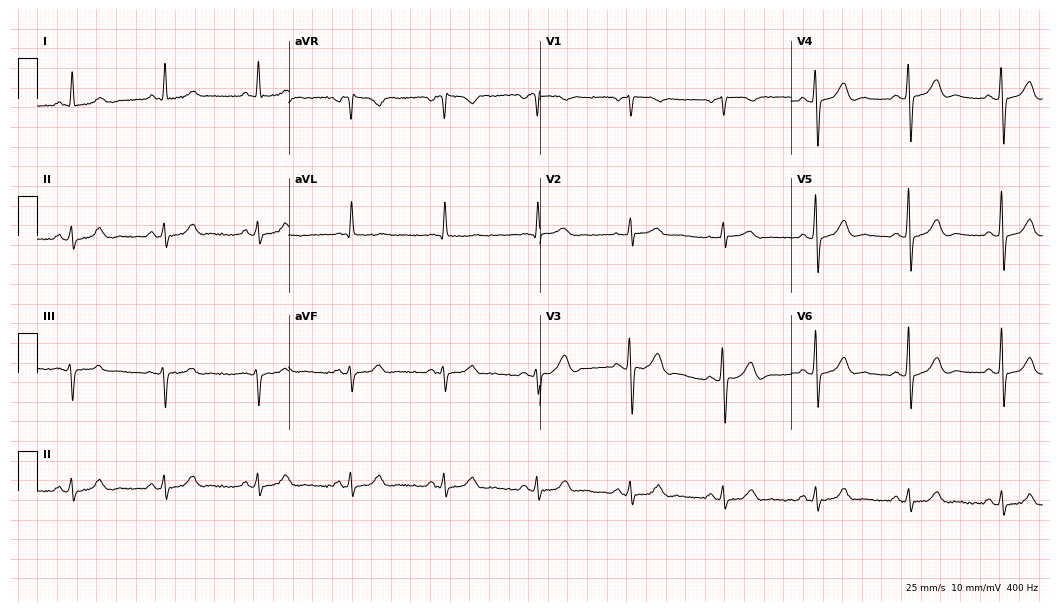
12-lead ECG from a man, 77 years old. Labelled as a normal ECG.